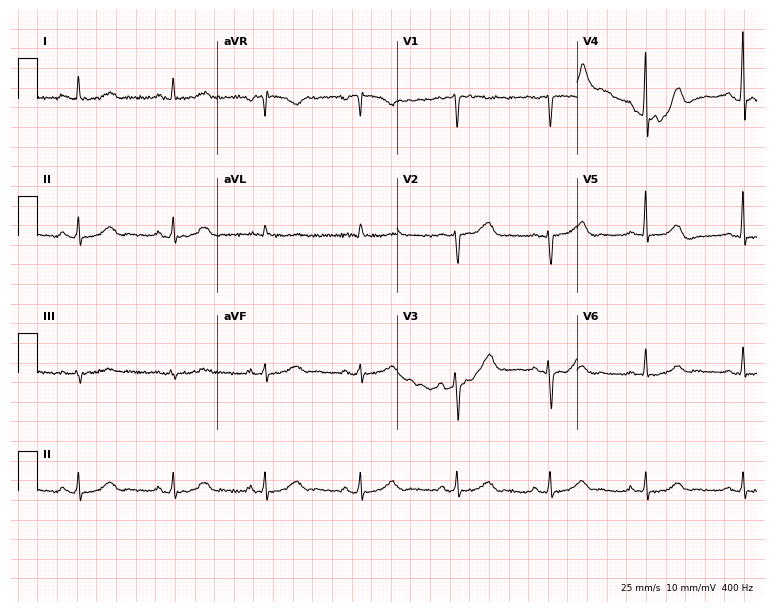
Electrocardiogram (7.3-second recording at 400 Hz), a 51-year-old woman. Of the six screened findings (first-degree AV block, right bundle branch block, left bundle branch block, sinus bradycardia, atrial fibrillation, sinus tachycardia), none is recorded.